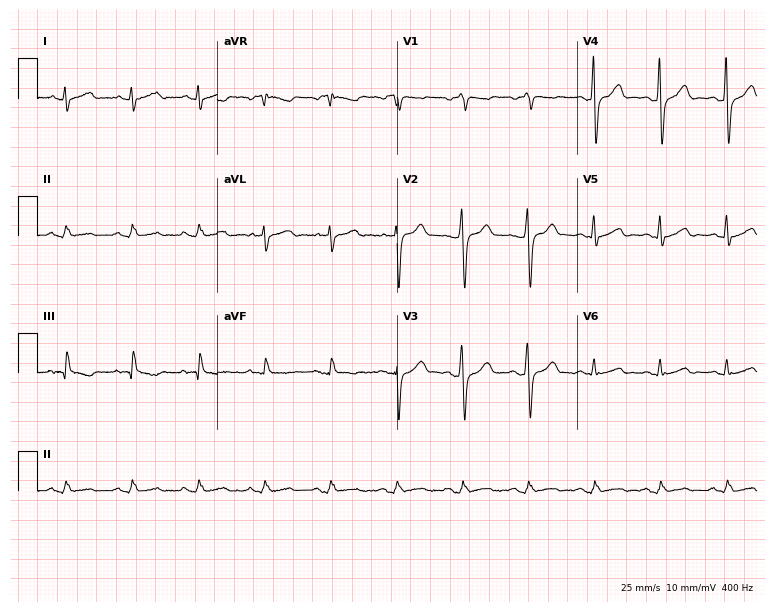
12-lead ECG from a 73-year-old male patient. Screened for six findings — first-degree AV block, right bundle branch block (RBBB), left bundle branch block (LBBB), sinus bradycardia, atrial fibrillation (AF), sinus tachycardia — none is recorded. Only these six findings were labelled.